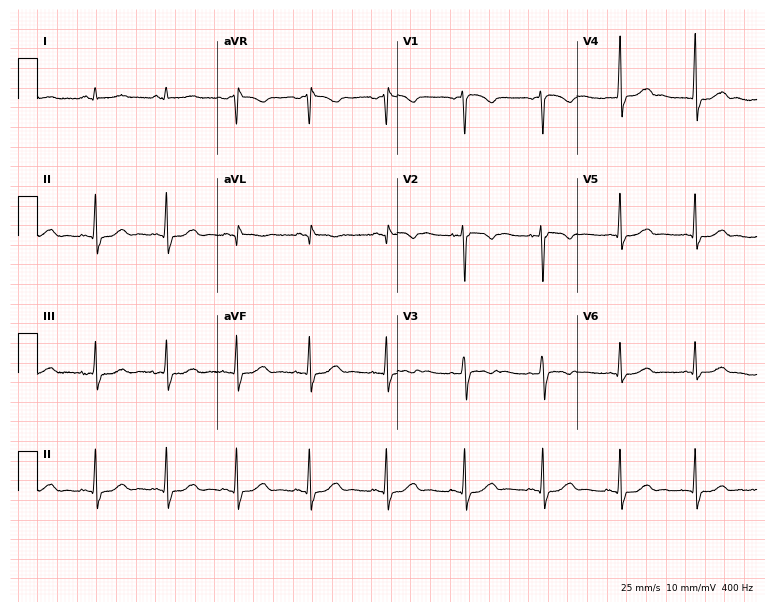
12-lead ECG from a woman, 44 years old. Screened for six findings — first-degree AV block, right bundle branch block (RBBB), left bundle branch block (LBBB), sinus bradycardia, atrial fibrillation (AF), sinus tachycardia — none is recorded. Only these six findings were labelled.